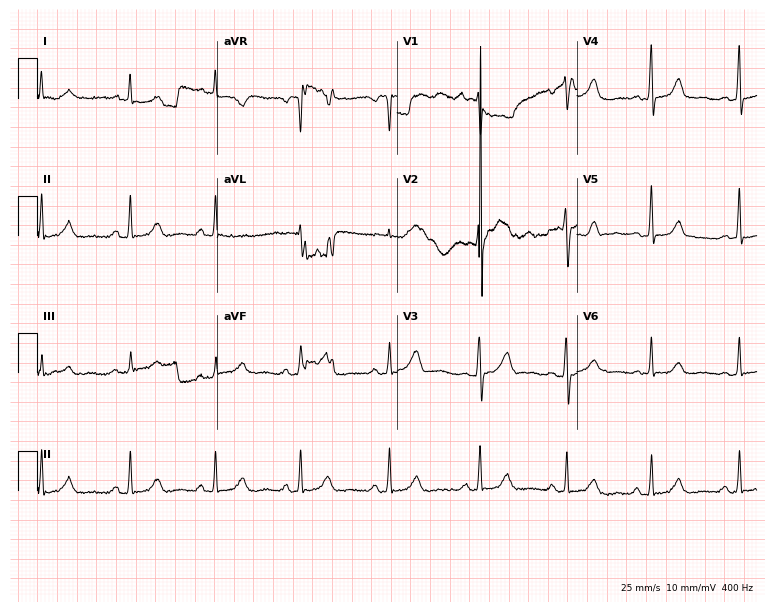
Standard 12-lead ECG recorded from a 61-year-old female patient. None of these six findings is recorded: first-degree AV block, right bundle branch block, left bundle branch block, sinus bradycardia, atrial fibrillation, sinus tachycardia. Findings outside these six are not listed.